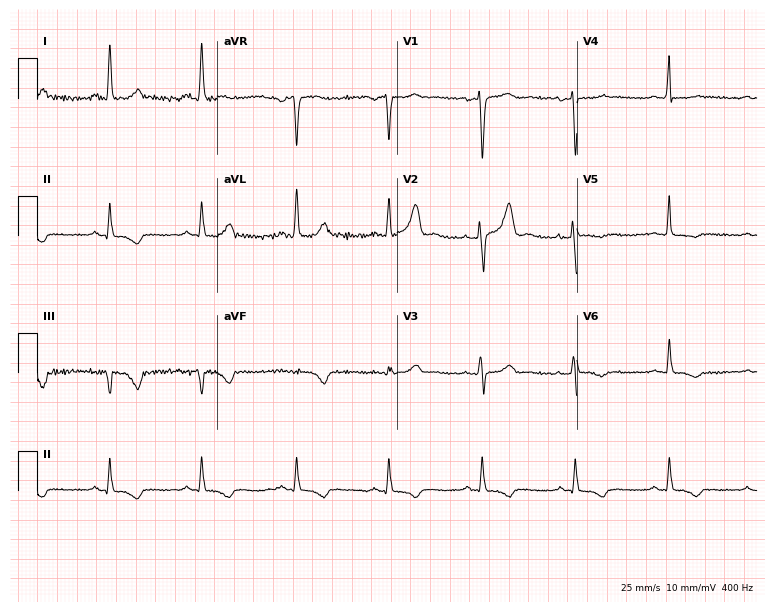
12-lead ECG from a 51-year-old female patient. Screened for six findings — first-degree AV block, right bundle branch block, left bundle branch block, sinus bradycardia, atrial fibrillation, sinus tachycardia — none is recorded.